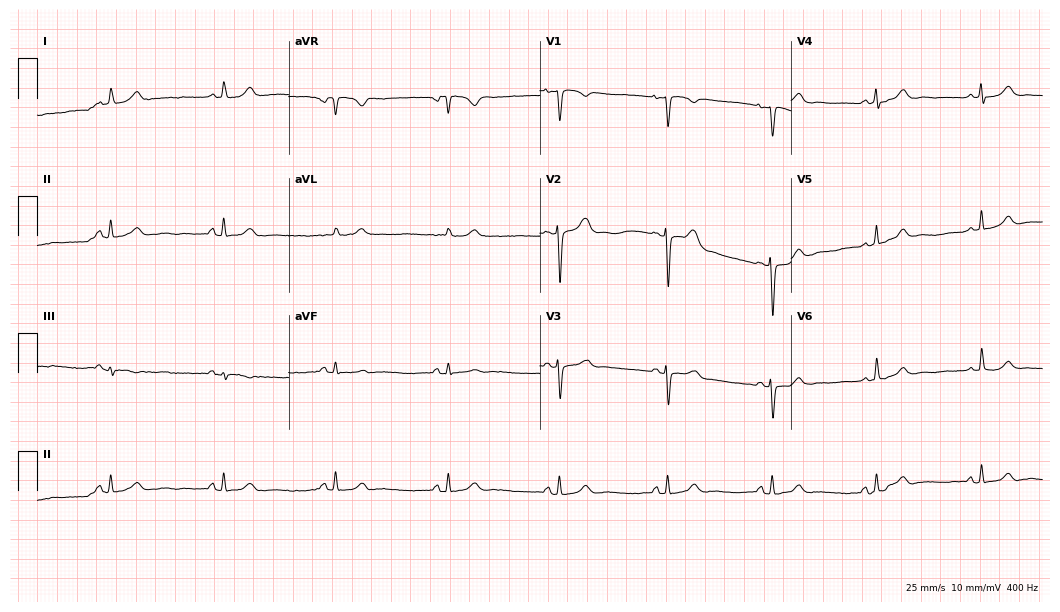
ECG — a woman, 29 years old. Labelled as a normal ECG.